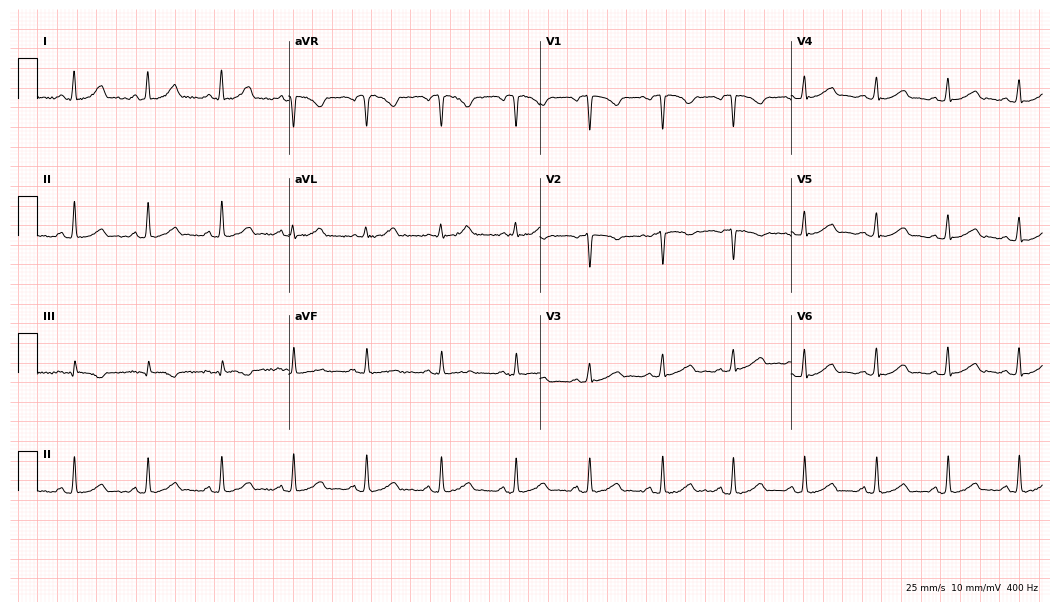
12-lead ECG (10.2-second recording at 400 Hz) from a female patient, 25 years old. Labelled as a normal ECG.